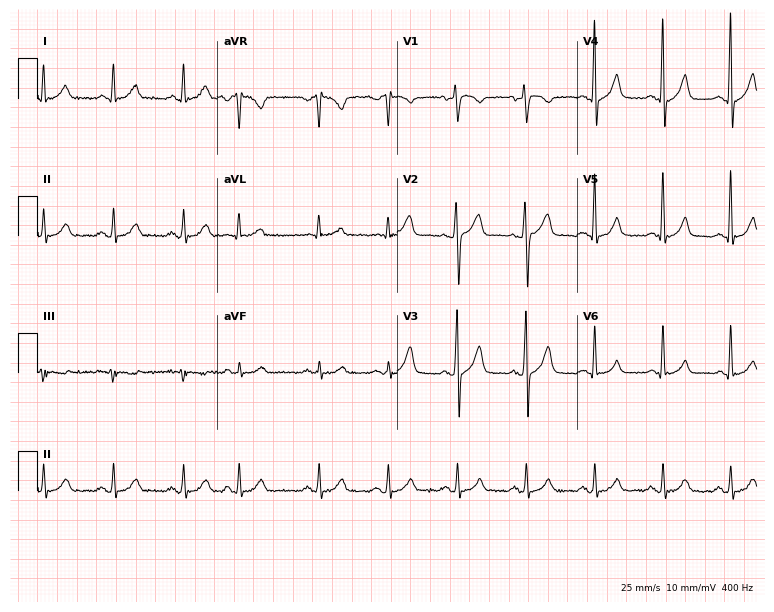
Resting 12-lead electrocardiogram. Patient: a 59-year-old male. Read as a normal ECG.